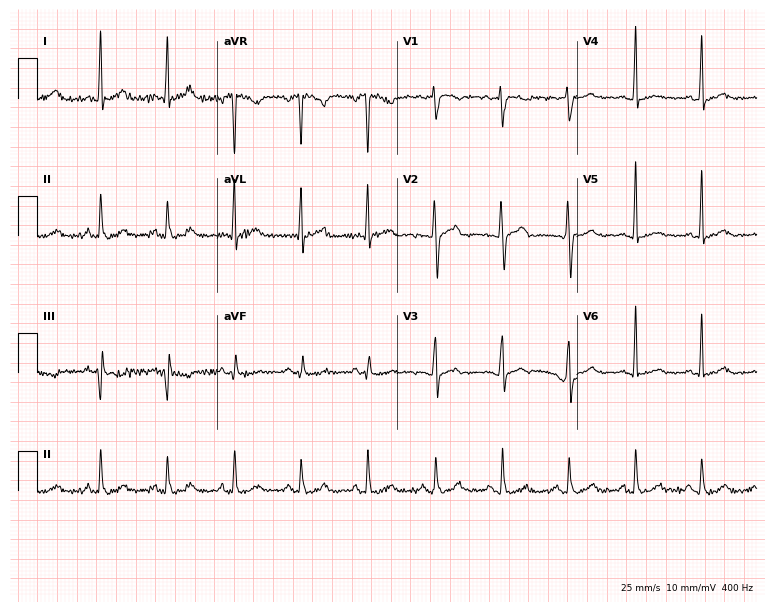
Electrocardiogram (7.3-second recording at 400 Hz), a 32-year-old woman. Overall reading on record: normal ECG.